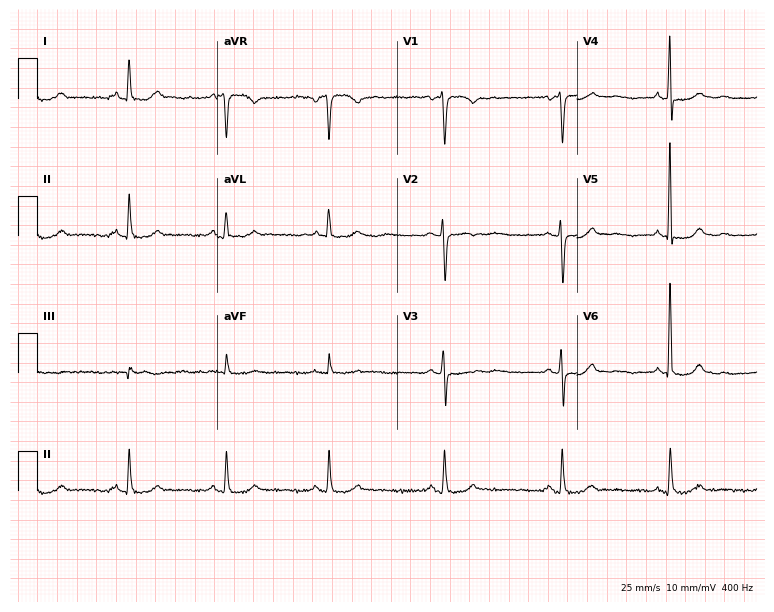
Electrocardiogram (7.3-second recording at 400 Hz), a female patient, 66 years old. Of the six screened findings (first-degree AV block, right bundle branch block, left bundle branch block, sinus bradycardia, atrial fibrillation, sinus tachycardia), none is recorded. Other findings, if any, are not listed.